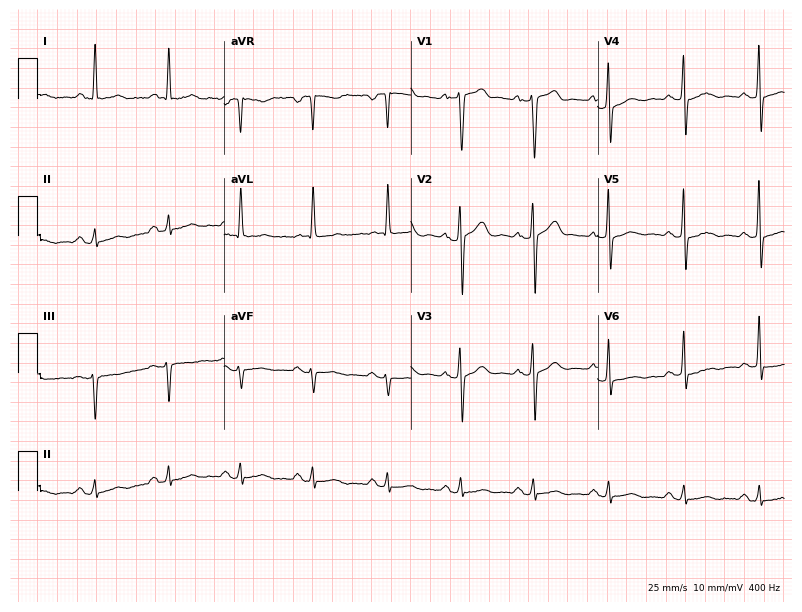
12-lead ECG from a man, 51 years old. No first-degree AV block, right bundle branch block (RBBB), left bundle branch block (LBBB), sinus bradycardia, atrial fibrillation (AF) or sinus tachycardia recorded for this tracing. Only these six findings were labelled.